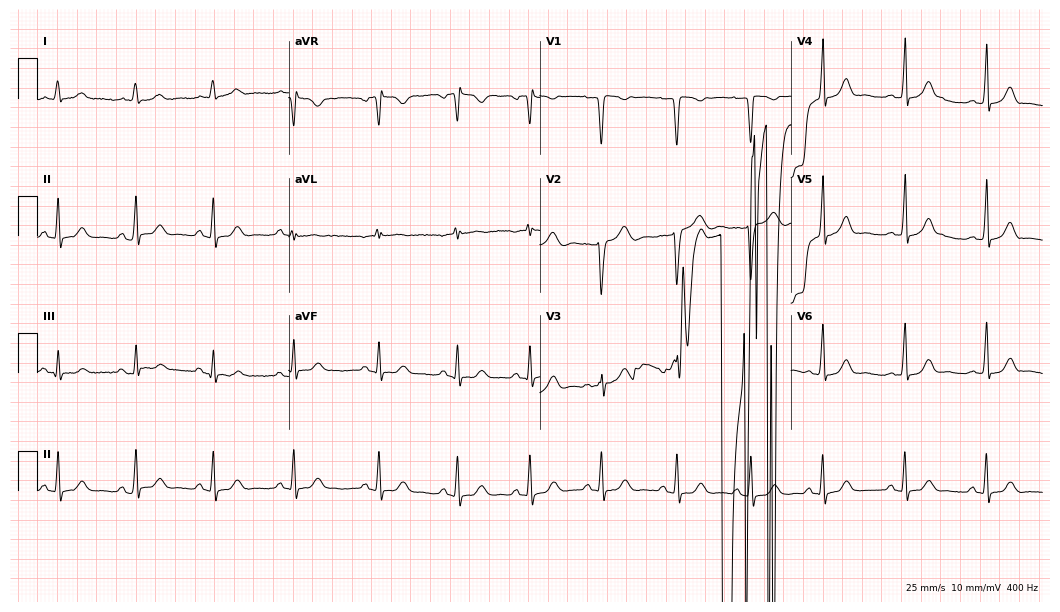
12-lead ECG from a 31-year-old female (10.2-second recording at 400 Hz). No first-degree AV block, right bundle branch block, left bundle branch block, sinus bradycardia, atrial fibrillation or sinus tachycardia recorded for this tracing.